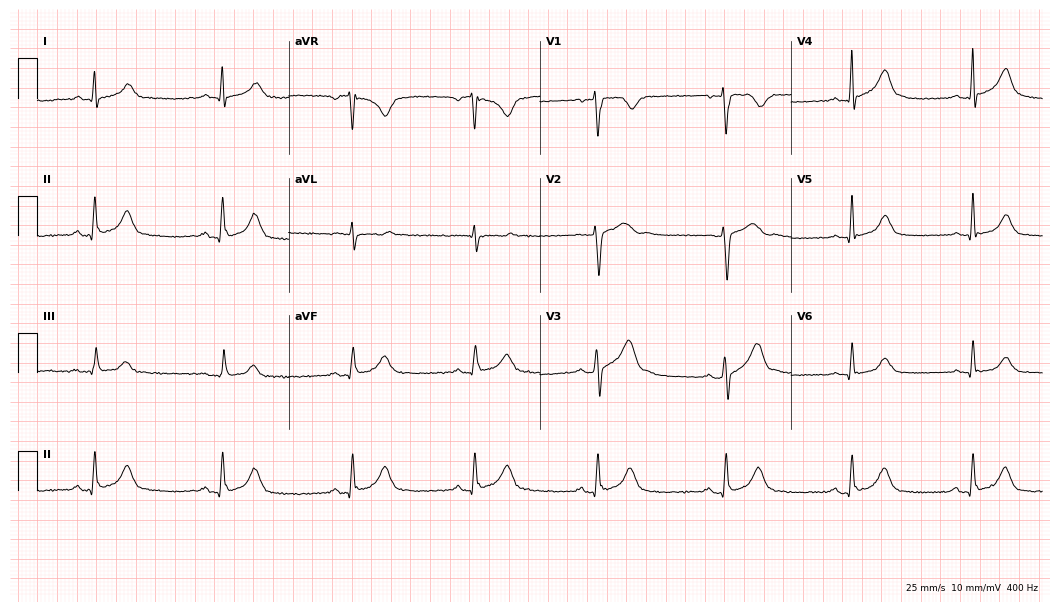
Resting 12-lead electrocardiogram (10.2-second recording at 400 Hz). Patient: a male, 30 years old. The tracing shows sinus bradycardia (a sinus rate of 50 beats per minute or less).